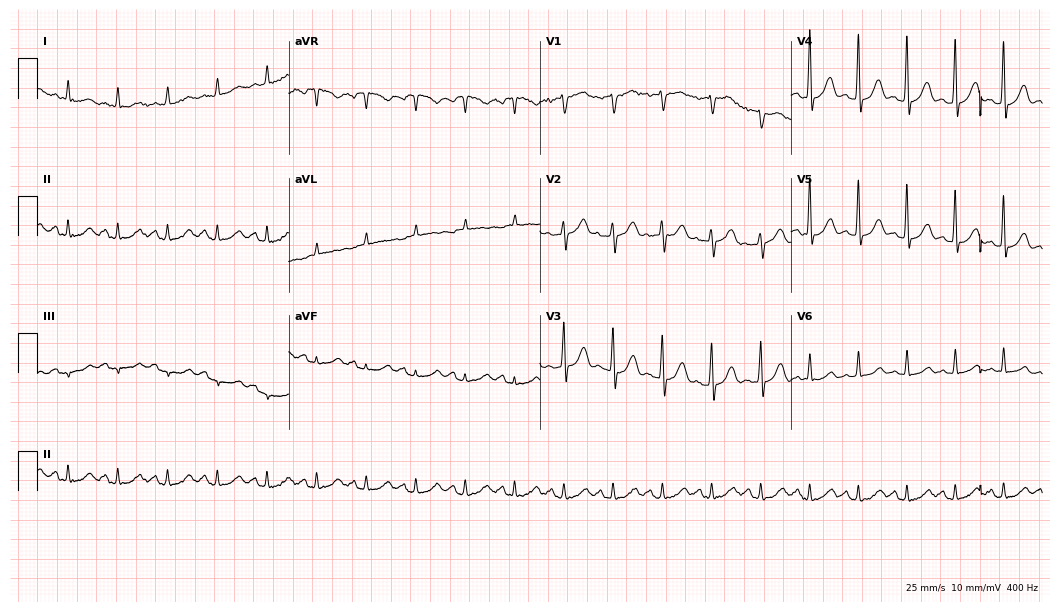
12-lead ECG from a 78-year-old male (10.2-second recording at 400 Hz). Shows sinus tachycardia (a sinus rate of 100 beats per minute or more).